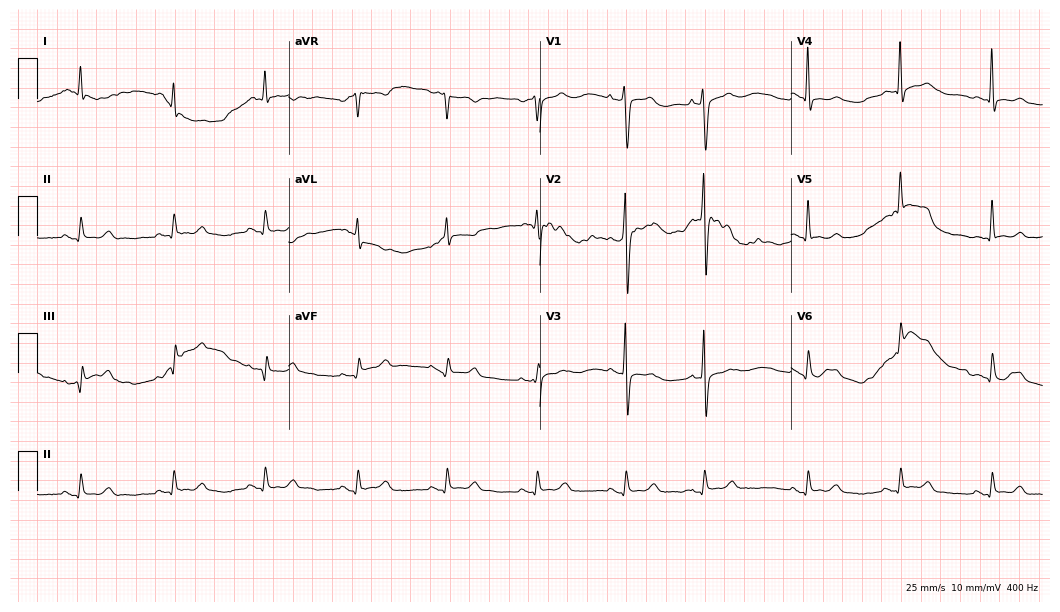
Standard 12-lead ECG recorded from a female patient, 70 years old (10.2-second recording at 400 Hz). Read as a normal ECG.